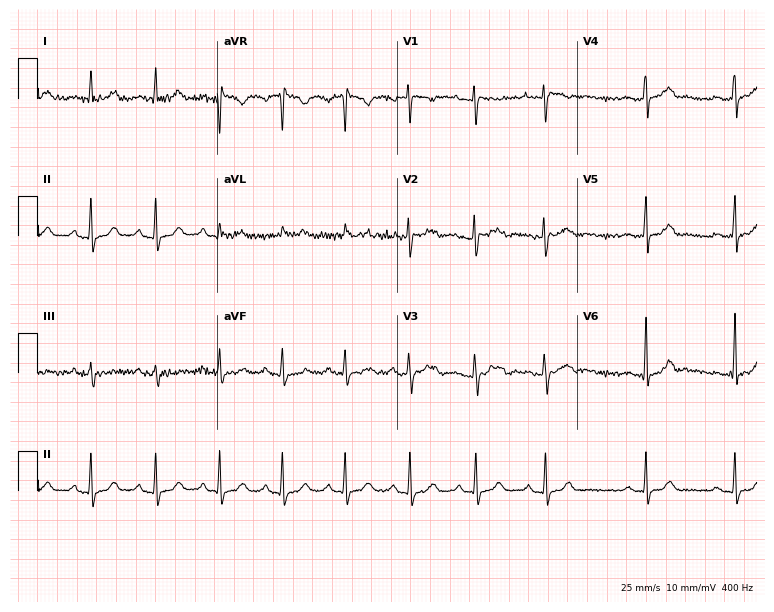
ECG (7.3-second recording at 400 Hz) — a female, 19 years old. Screened for six findings — first-degree AV block, right bundle branch block (RBBB), left bundle branch block (LBBB), sinus bradycardia, atrial fibrillation (AF), sinus tachycardia — none is recorded.